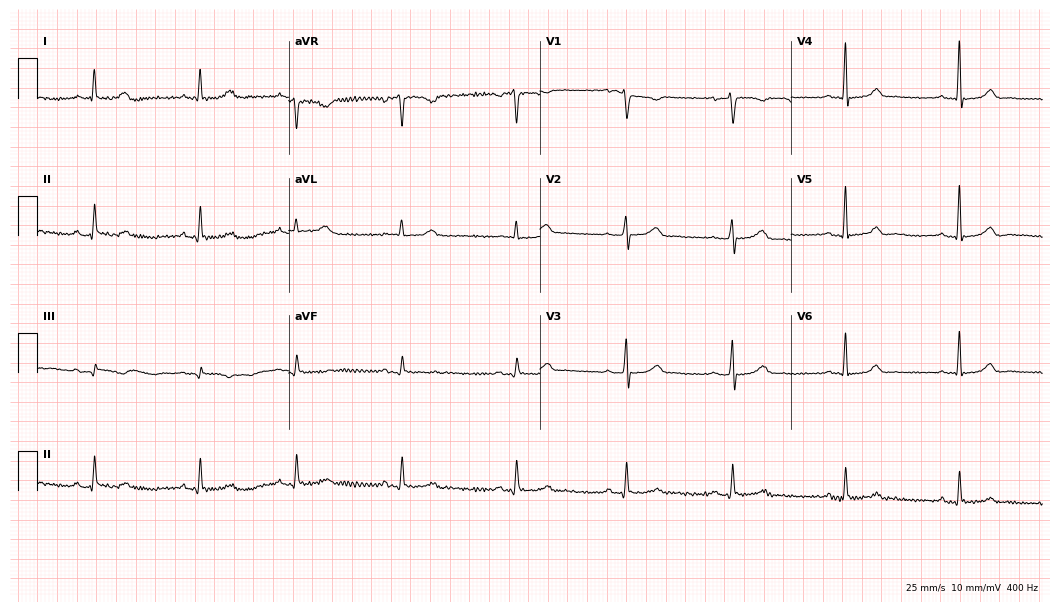
Resting 12-lead electrocardiogram (10.2-second recording at 400 Hz). Patient: a 49-year-old female. None of these six findings is recorded: first-degree AV block, right bundle branch block (RBBB), left bundle branch block (LBBB), sinus bradycardia, atrial fibrillation (AF), sinus tachycardia.